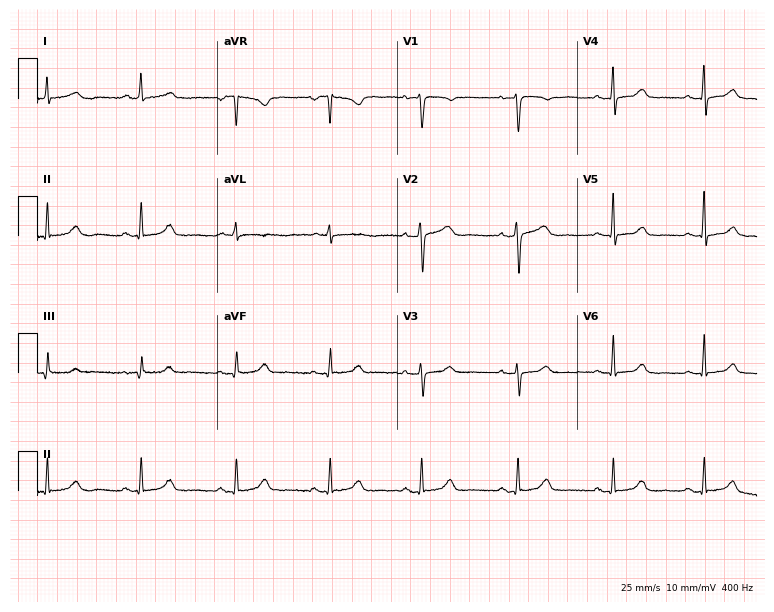
Electrocardiogram, a female patient, 44 years old. Overall reading on record: normal ECG.